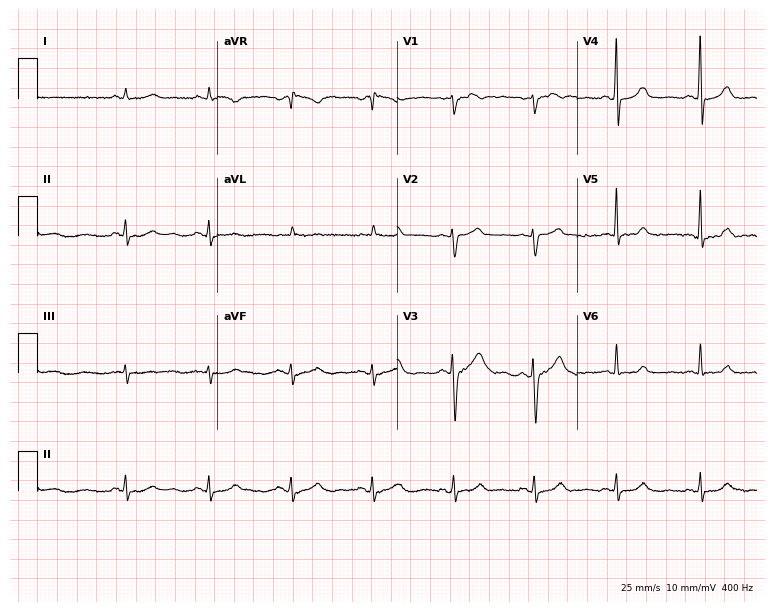
Electrocardiogram, a 56-year-old woman. Of the six screened findings (first-degree AV block, right bundle branch block, left bundle branch block, sinus bradycardia, atrial fibrillation, sinus tachycardia), none is recorded. Other findings, if any, are not listed.